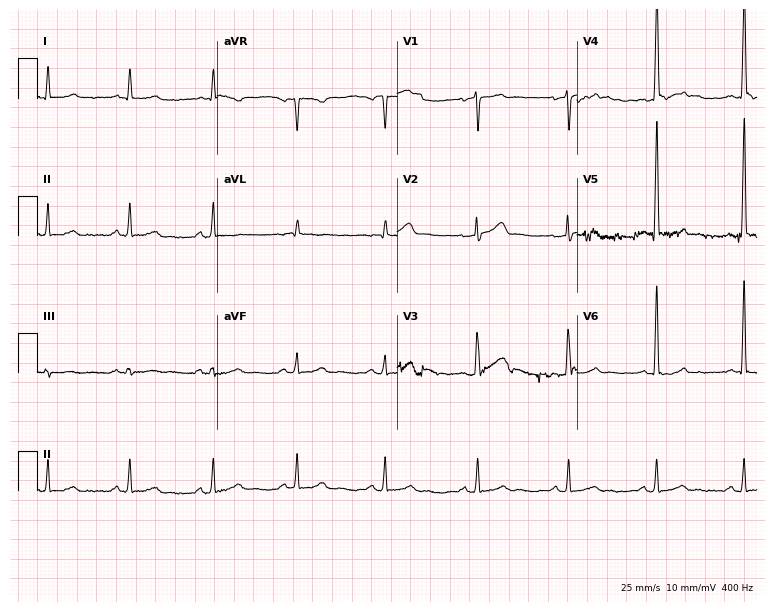
Electrocardiogram, a 54-year-old male. Overall reading on record: normal ECG.